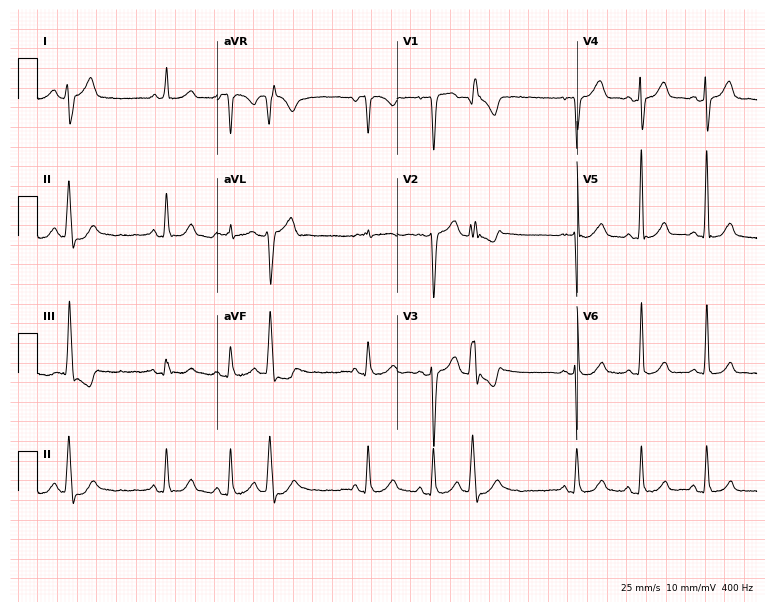
Standard 12-lead ECG recorded from a female patient, 58 years old (7.3-second recording at 400 Hz). None of these six findings is recorded: first-degree AV block, right bundle branch block, left bundle branch block, sinus bradycardia, atrial fibrillation, sinus tachycardia. Only these six findings were labelled.